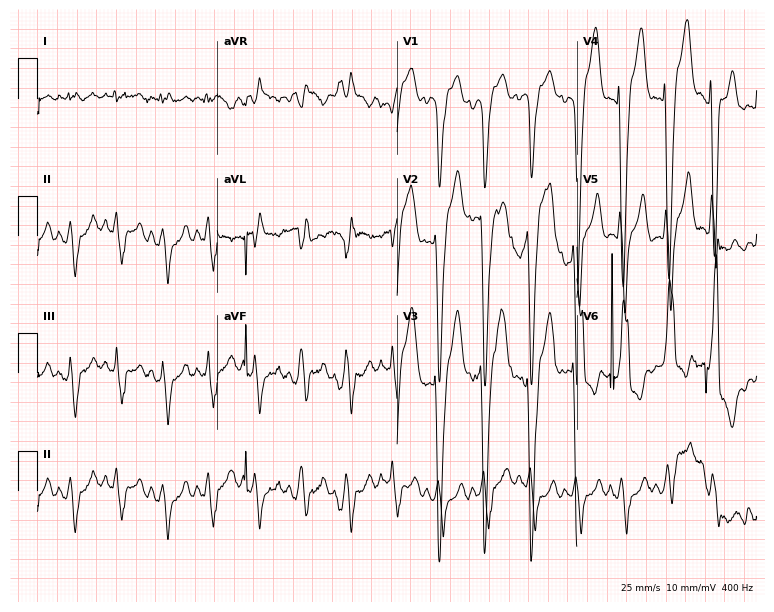
12-lead ECG from a 56-year-old female. No first-degree AV block, right bundle branch block (RBBB), left bundle branch block (LBBB), sinus bradycardia, atrial fibrillation (AF) or sinus tachycardia recorded for this tracing. Findings outside these six are not listed.